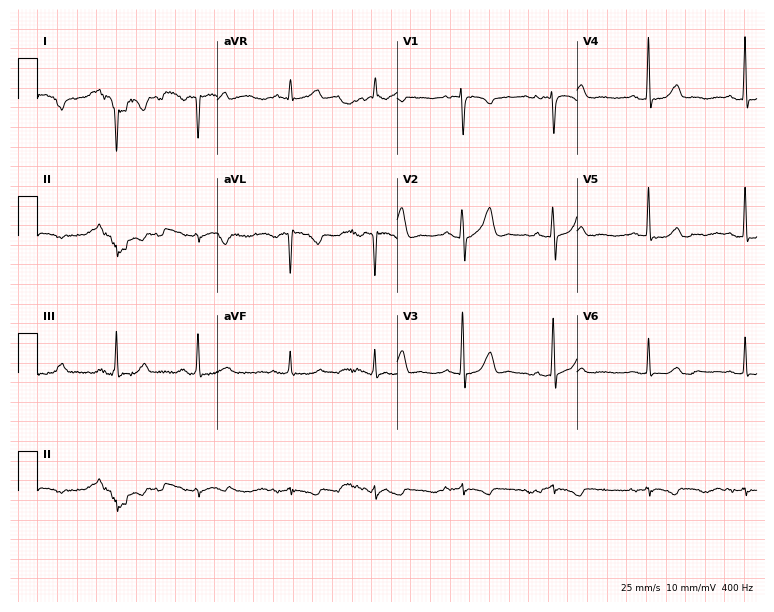
12-lead ECG (7.3-second recording at 400 Hz) from a 32-year-old female patient. Labelled as a normal ECG.